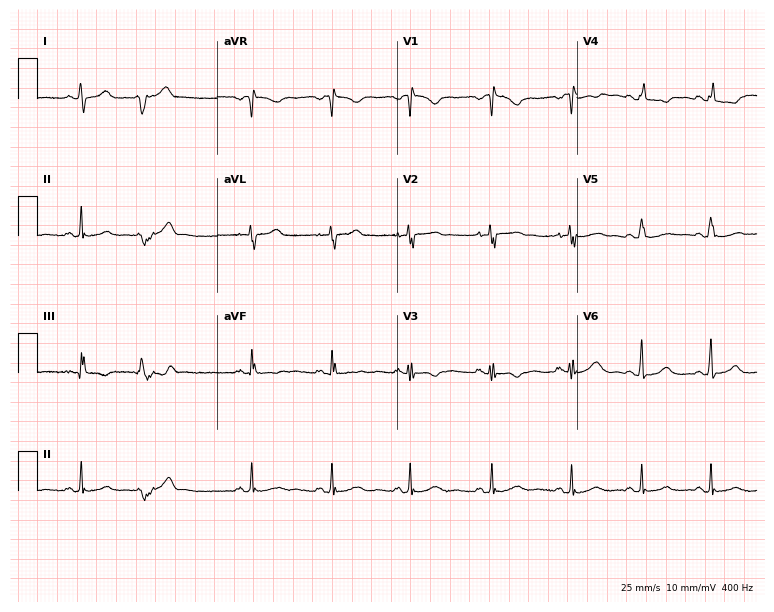
Standard 12-lead ECG recorded from a woman, 27 years old. None of these six findings is recorded: first-degree AV block, right bundle branch block, left bundle branch block, sinus bradycardia, atrial fibrillation, sinus tachycardia. Findings outside these six are not listed.